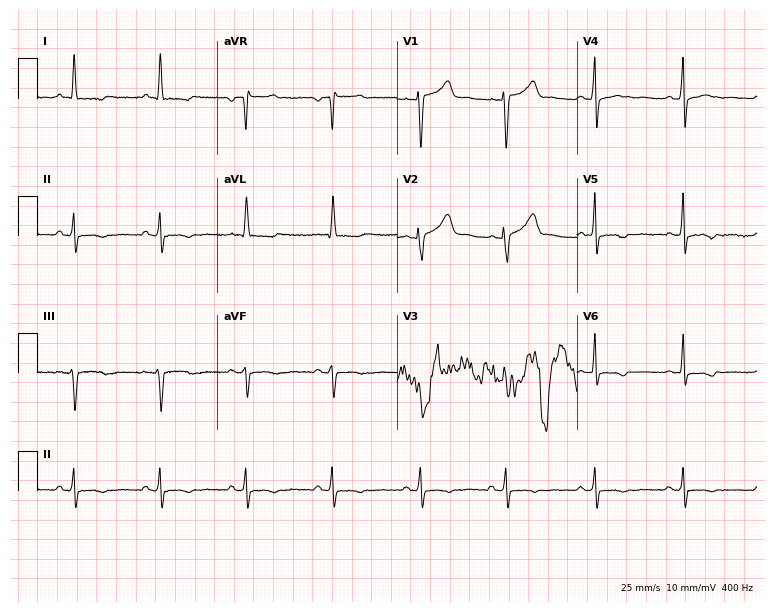
Standard 12-lead ECG recorded from a 59-year-old man (7.3-second recording at 400 Hz). None of these six findings is recorded: first-degree AV block, right bundle branch block (RBBB), left bundle branch block (LBBB), sinus bradycardia, atrial fibrillation (AF), sinus tachycardia. Findings outside these six are not listed.